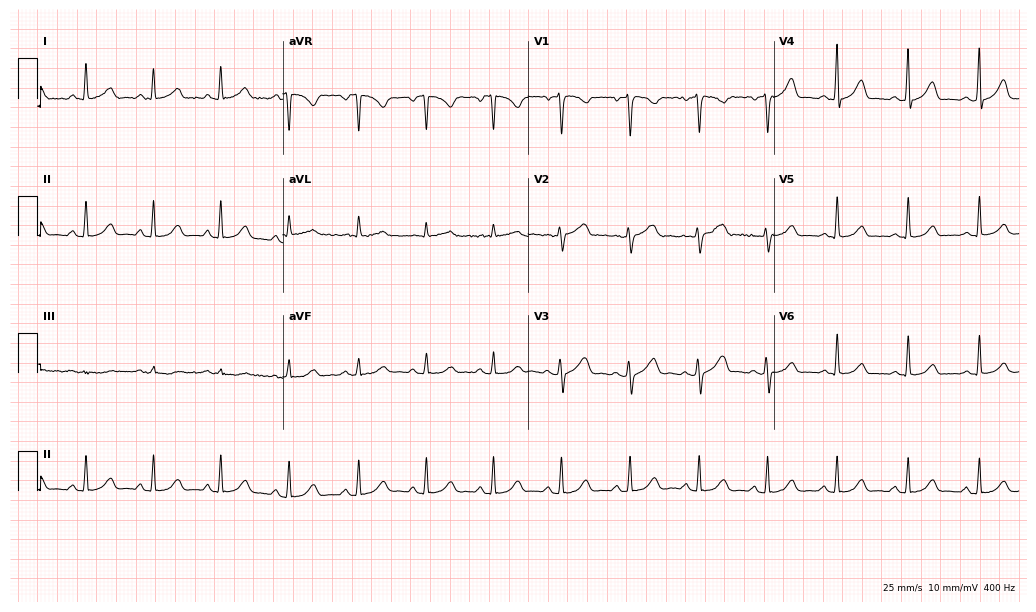
12-lead ECG from a female patient, 44 years old. Labelled as a normal ECG.